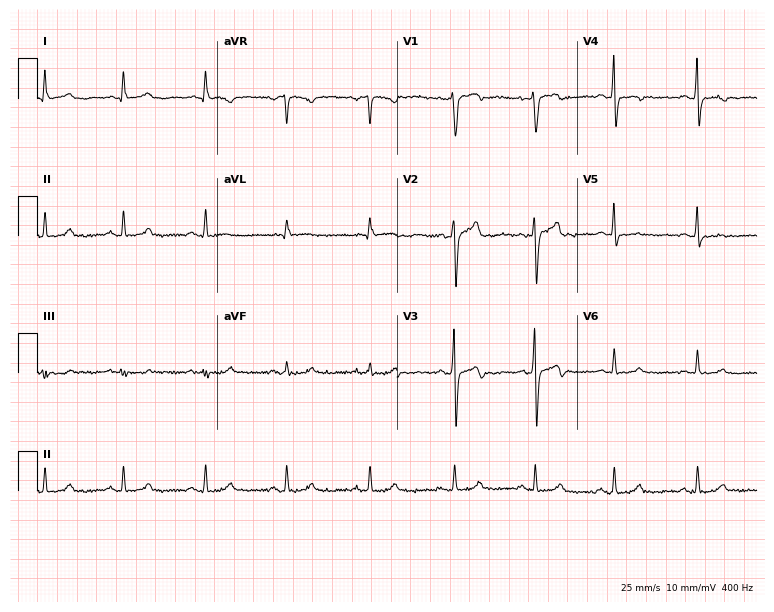
ECG — a 34-year-old male patient. Labelled as a normal ECG.